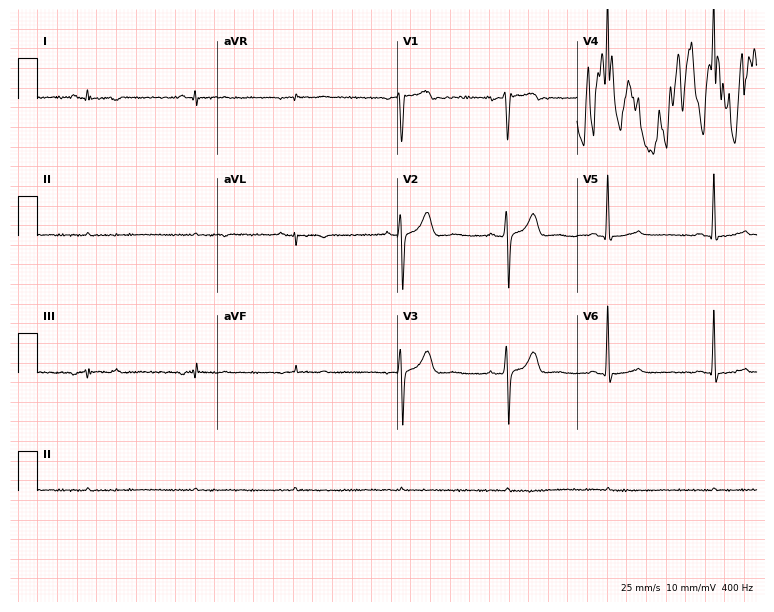
Resting 12-lead electrocardiogram. Patient: a female, 56 years old. None of these six findings is recorded: first-degree AV block, right bundle branch block, left bundle branch block, sinus bradycardia, atrial fibrillation, sinus tachycardia.